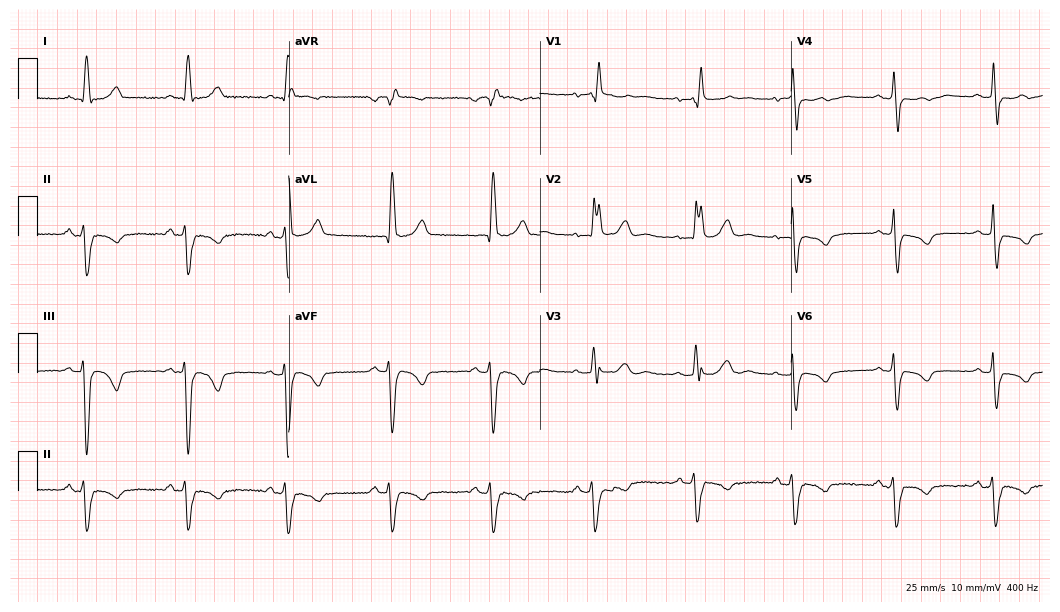
12-lead ECG from a female patient, 77 years old (10.2-second recording at 400 Hz). Shows right bundle branch block.